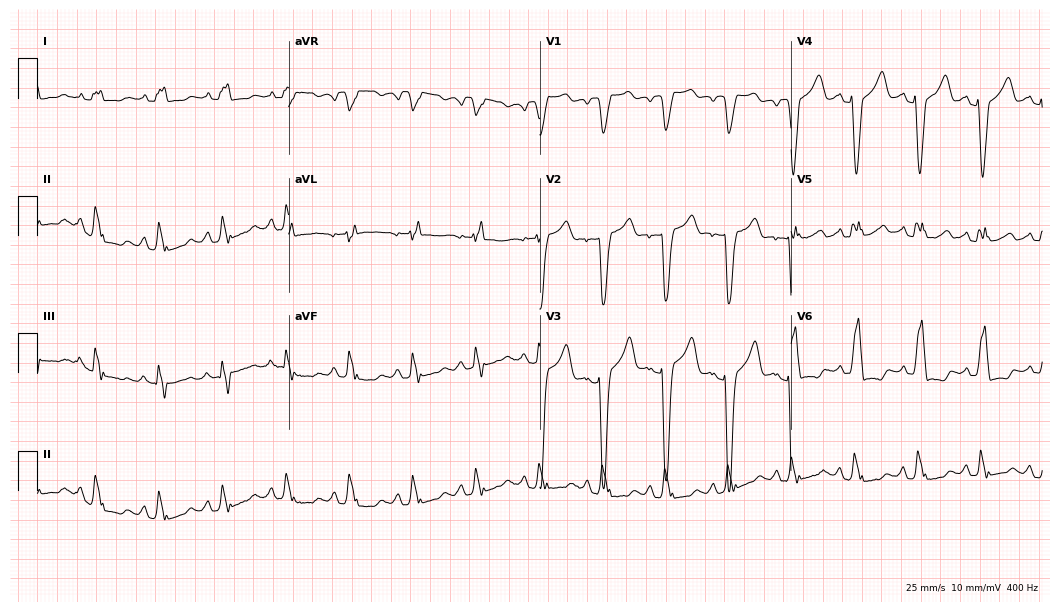
12-lead ECG from an 84-year-old woman (10.2-second recording at 400 Hz). No first-degree AV block, right bundle branch block (RBBB), left bundle branch block (LBBB), sinus bradycardia, atrial fibrillation (AF) or sinus tachycardia recorded for this tracing.